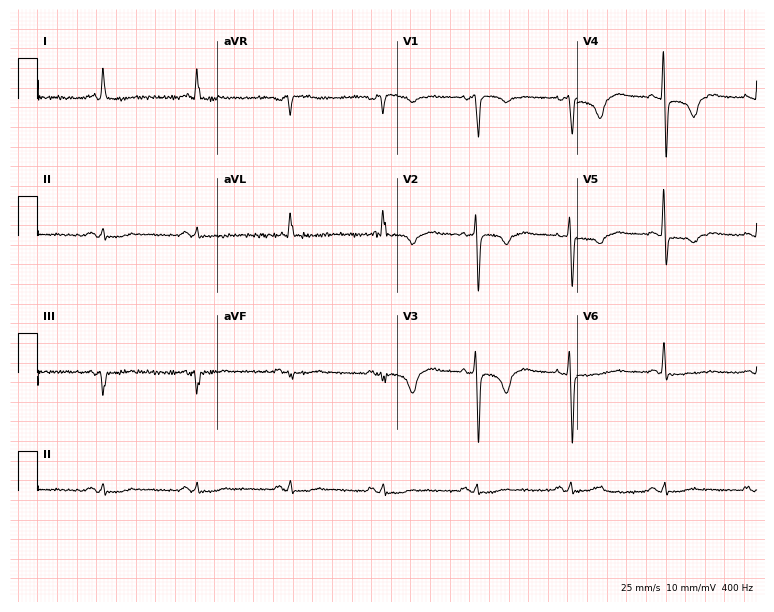
Standard 12-lead ECG recorded from a woman, 73 years old (7.3-second recording at 400 Hz). None of these six findings is recorded: first-degree AV block, right bundle branch block (RBBB), left bundle branch block (LBBB), sinus bradycardia, atrial fibrillation (AF), sinus tachycardia.